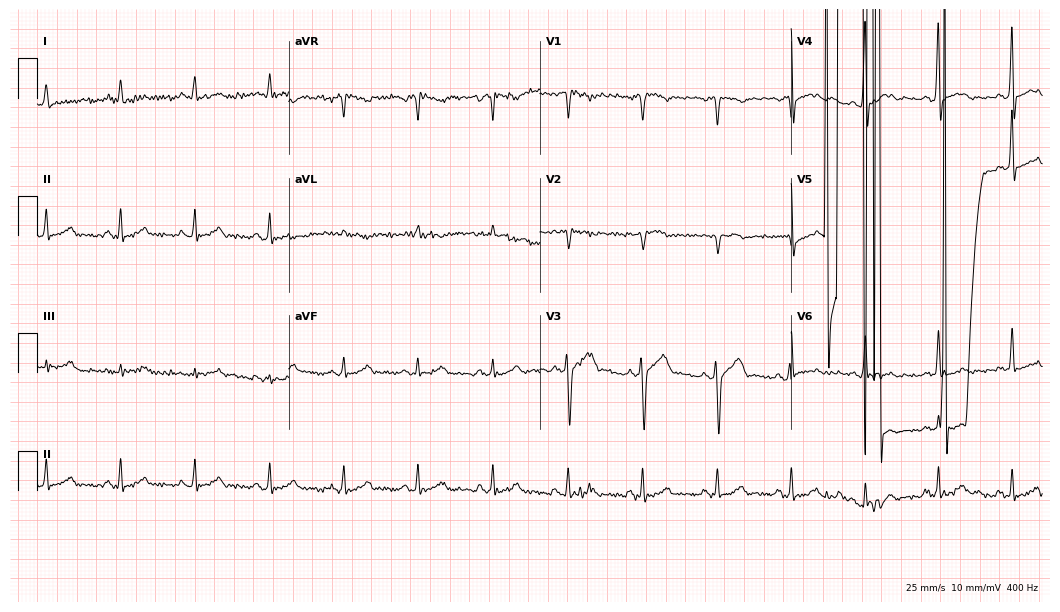
Standard 12-lead ECG recorded from a male patient, 49 years old. Read as a normal ECG.